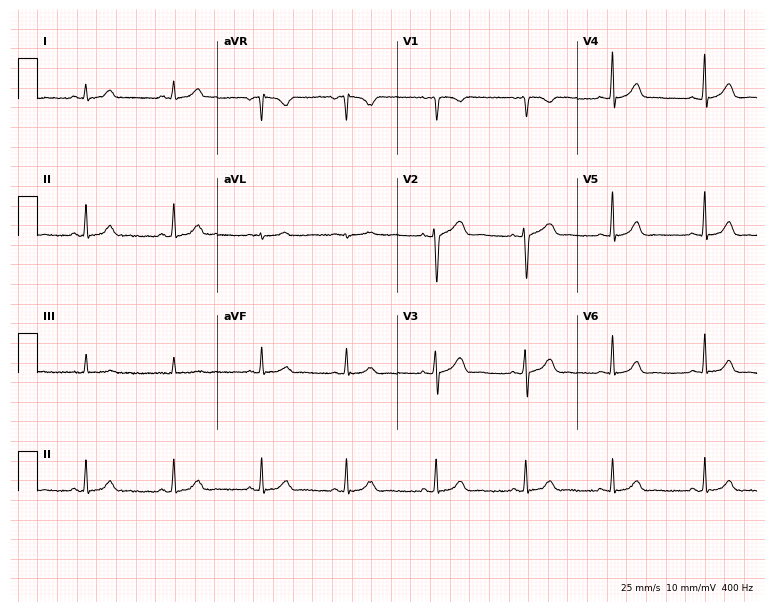
Standard 12-lead ECG recorded from a woman, 26 years old (7.3-second recording at 400 Hz). Read as a normal ECG.